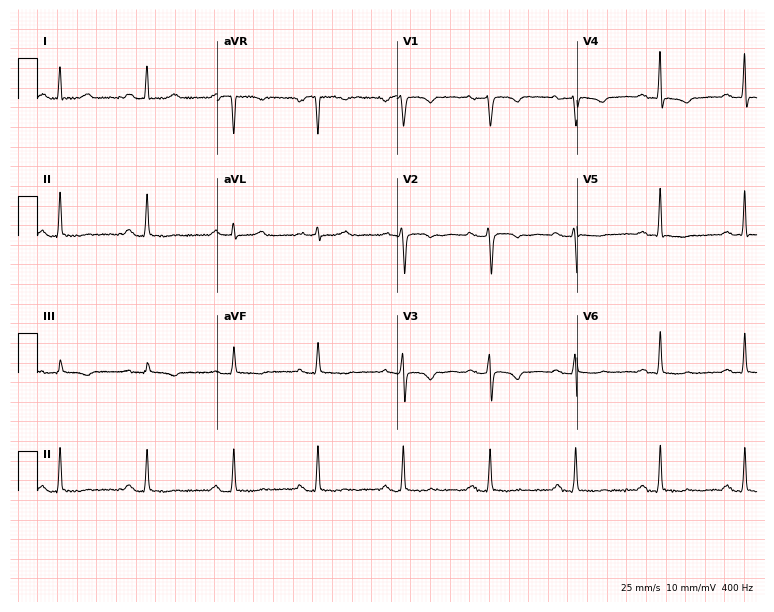
Electrocardiogram, a 55-year-old female patient. Of the six screened findings (first-degree AV block, right bundle branch block, left bundle branch block, sinus bradycardia, atrial fibrillation, sinus tachycardia), none is recorded. Other findings, if any, are not listed.